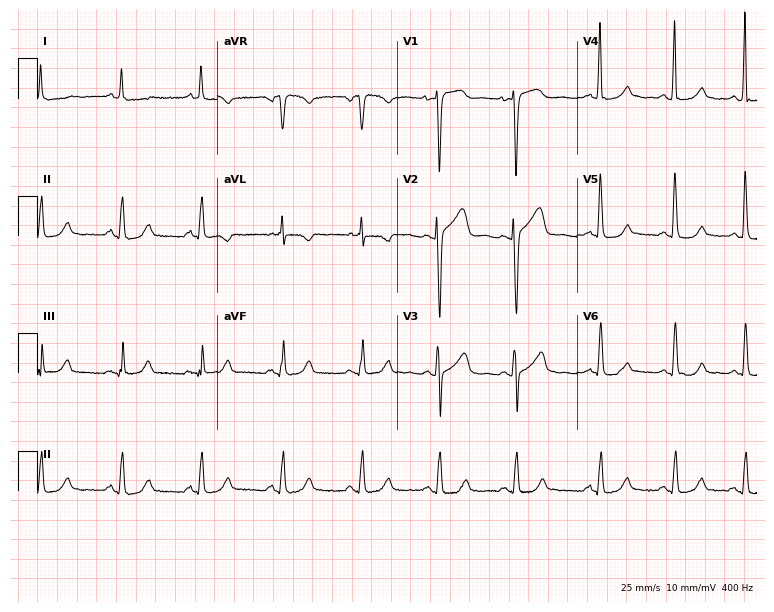
Standard 12-lead ECG recorded from a female patient, 63 years old. Read as a normal ECG.